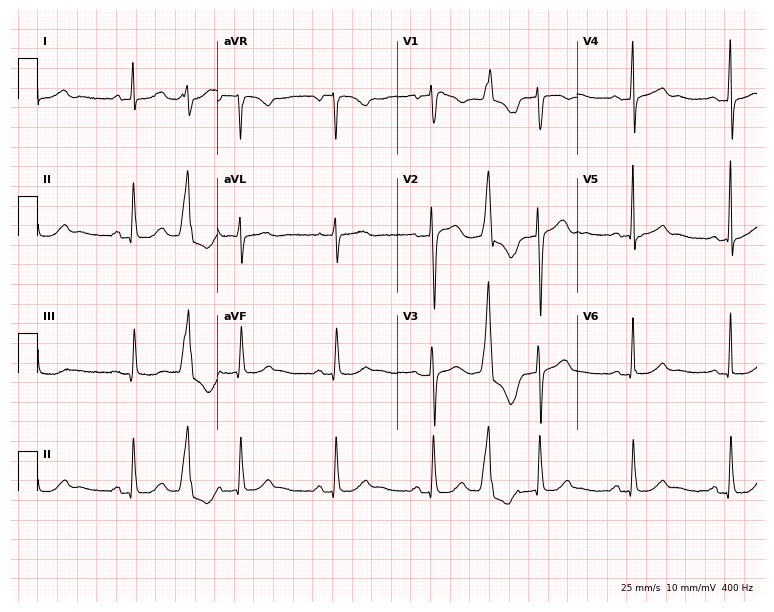
12-lead ECG from a female patient, 57 years old. Screened for six findings — first-degree AV block, right bundle branch block, left bundle branch block, sinus bradycardia, atrial fibrillation, sinus tachycardia — none is recorded. Other findings, if any, are not listed.